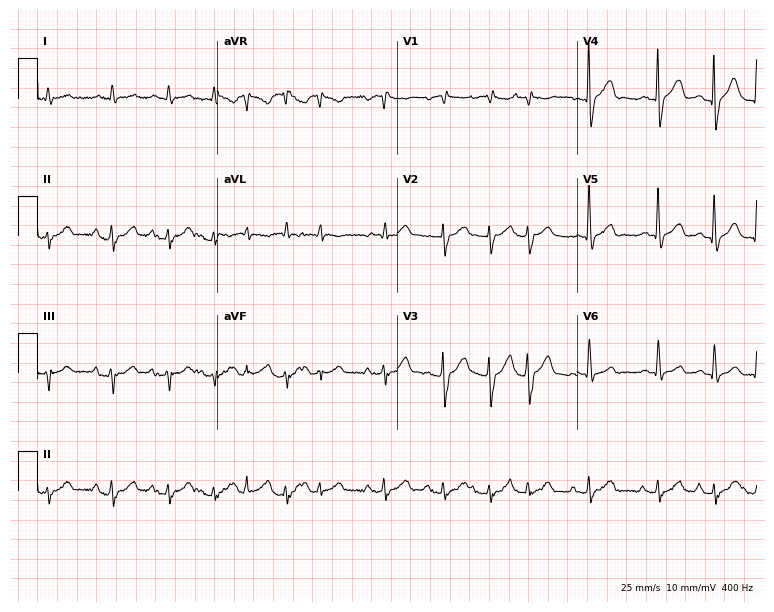
Standard 12-lead ECG recorded from an 81-year-old male (7.3-second recording at 400 Hz). None of these six findings is recorded: first-degree AV block, right bundle branch block, left bundle branch block, sinus bradycardia, atrial fibrillation, sinus tachycardia.